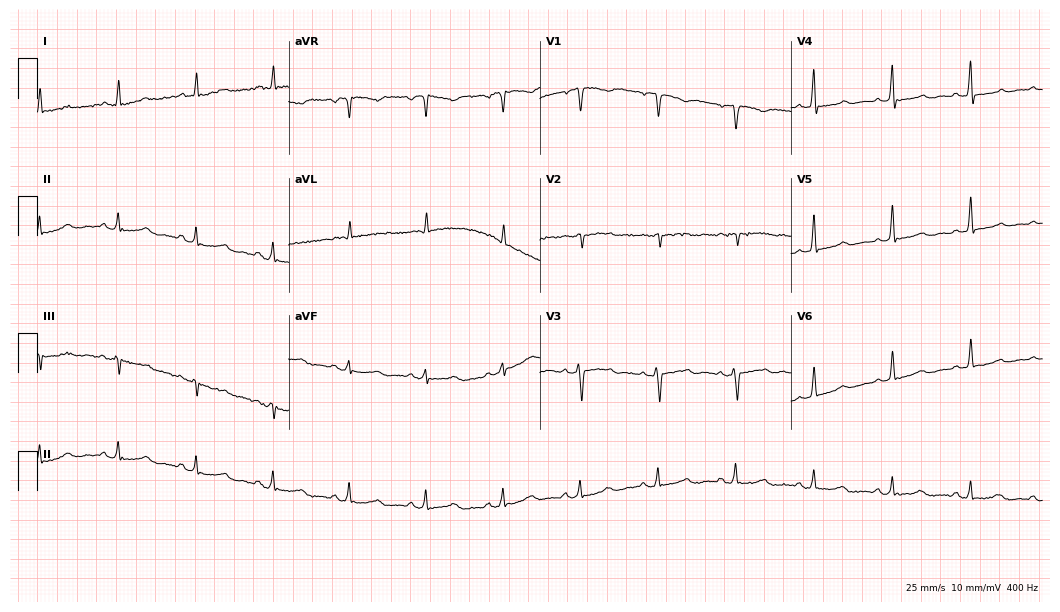
12-lead ECG (10.2-second recording at 400 Hz) from a female patient, 43 years old. Screened for six findings — first-degree AV block, right bundle branch block, left bundle branch block, sinus bradycardia, atrial fibrillation, sinus tachycardia — none is recorded.